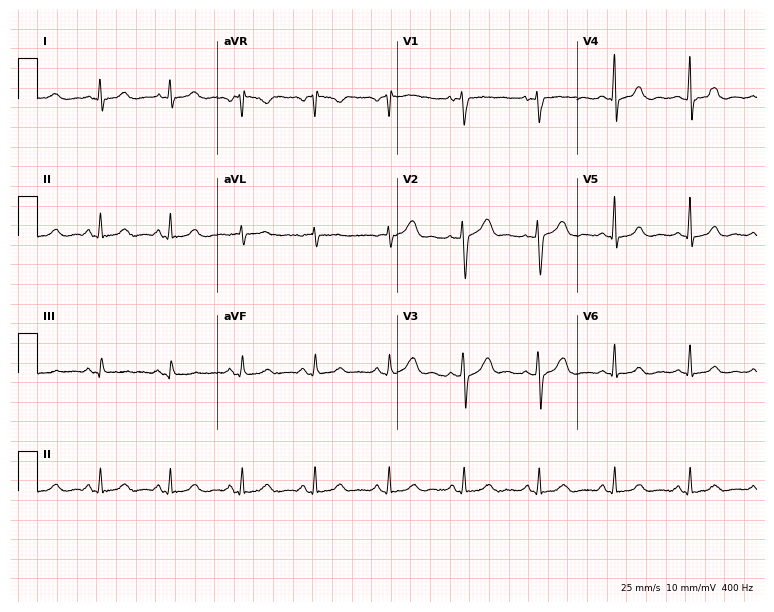
Resting 12-lead electrocardiogram. Patient: a 45-year-old female. Read as a normal ECG.